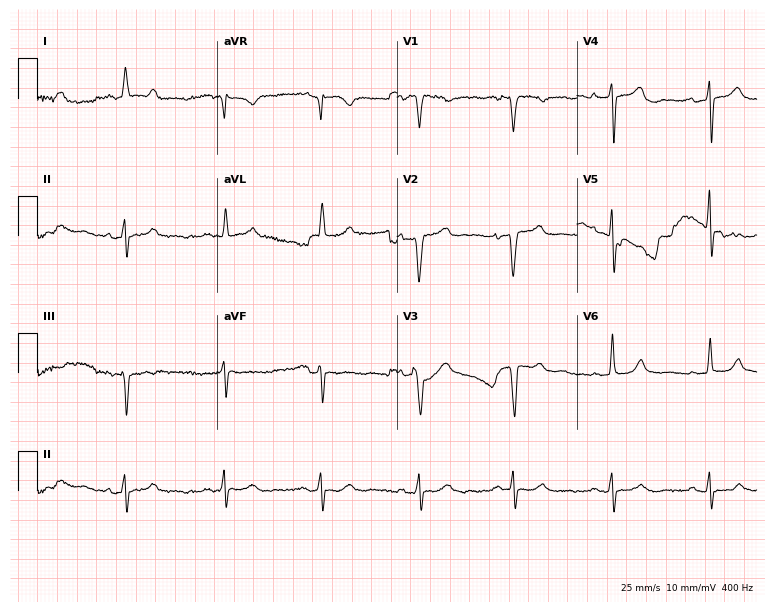
Electrocardiogram, a 69-year-old woman. Of the six screened findings (first-degree AV block, right bundle branch block, left bundle branch block, sinus bradycardia, atrial fibrillation, sinus tachycardia), none is recorded. Other findings, if any, are not listed.